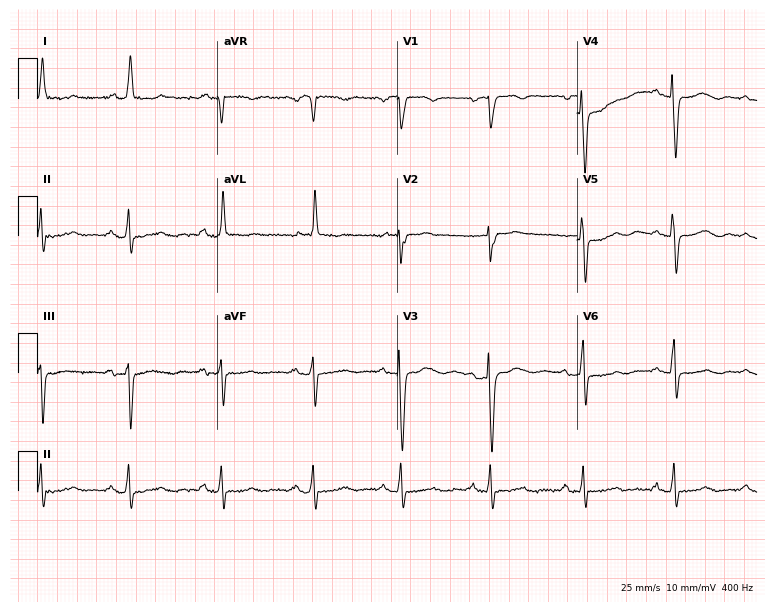
ECG — a female patient, 78 years old. Screened for six findings — first-degree AV block, right bundle branch block (RBBB), left bundle branch block (LBBB), sinus bradycardia, atrial fibrillation (AF), sinus tachycardia — none is recorded.